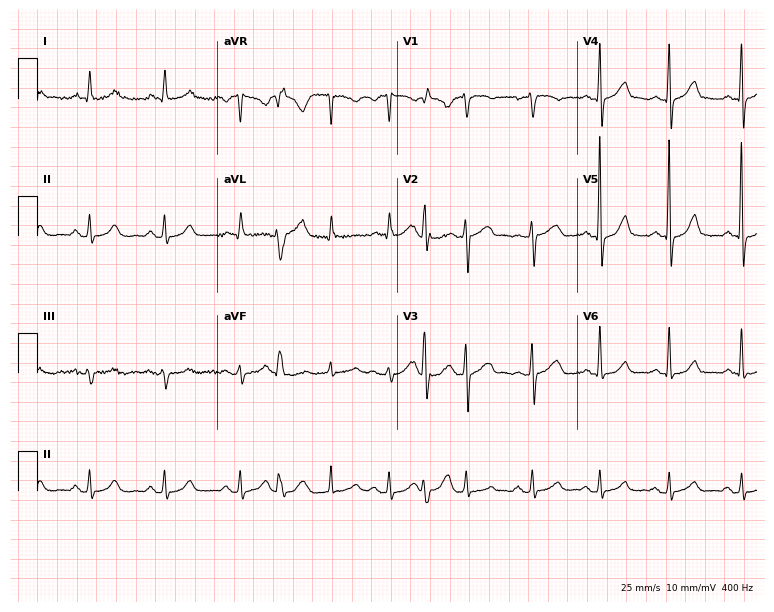
12-lead ECG from a woman, 61 years old. No first-degree AV block, right bundle branch block, left bundle branch block, sinus bradycardia, atrial fibrillation or sinus tachycardia recorded for this tracing.